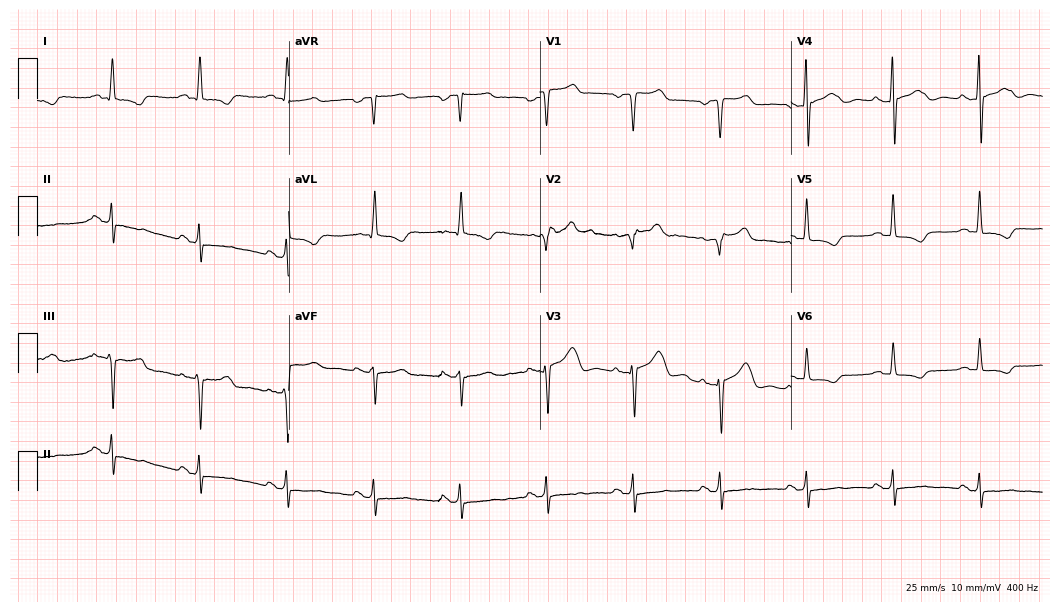
Resting 12-lead electrocardiogram. Patient: a male, 60 years old. None of these six findings is recorded: first-degree AV block, right bundle branch block, left bundle branch block, sinus bradycardia, atrial fibrillation, sinus tachycardia. Other findings, if any, are not listed.